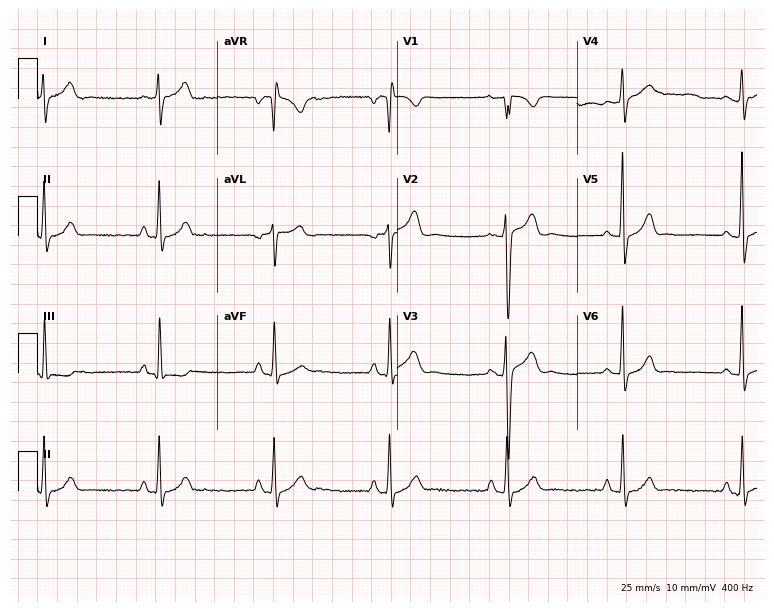
Standard 12-lead ECG recorded from an 18-year-old male. The tracing shows sinus bradycardia (a sinus rate of 50 beats per minute or less).